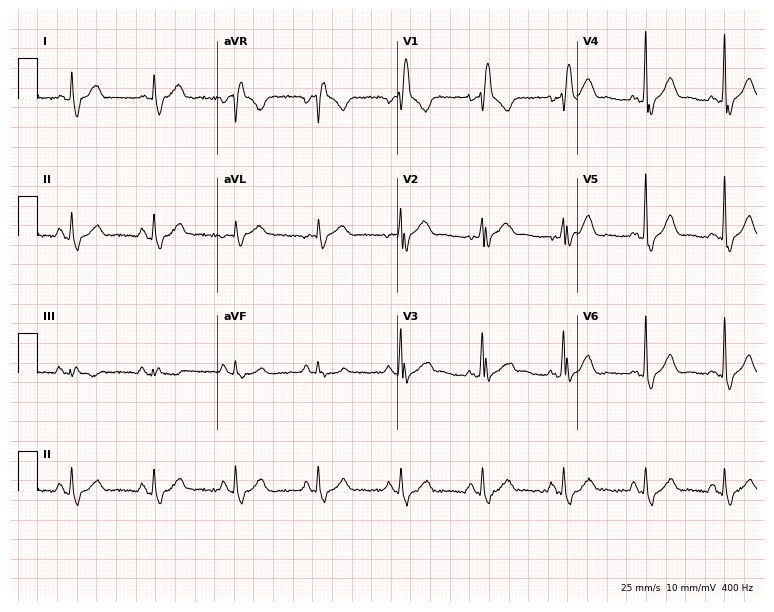
Electrocardiogram, an 80-year-old man. Interpretation includes right bundle branch block.